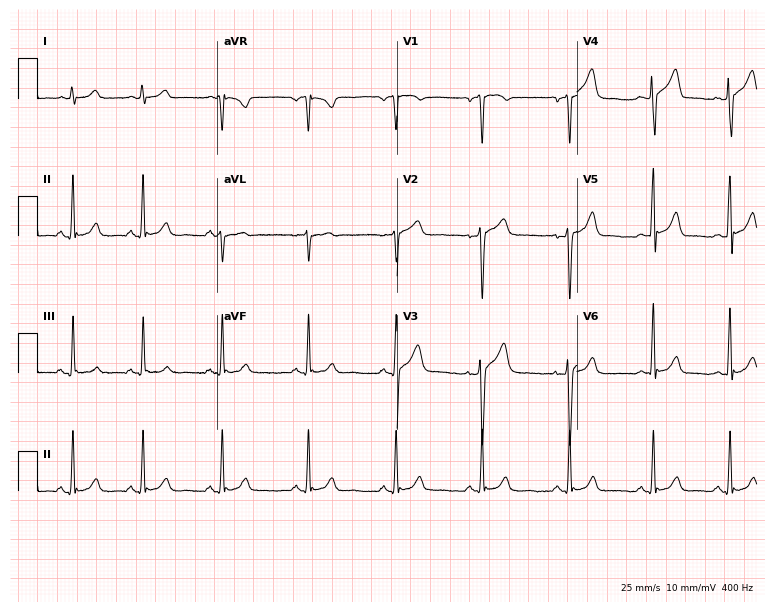
12-lead ECG from a man, 25 years old (7.3-second recording at 400 Hz). Recorded interpretation: within normal limits.